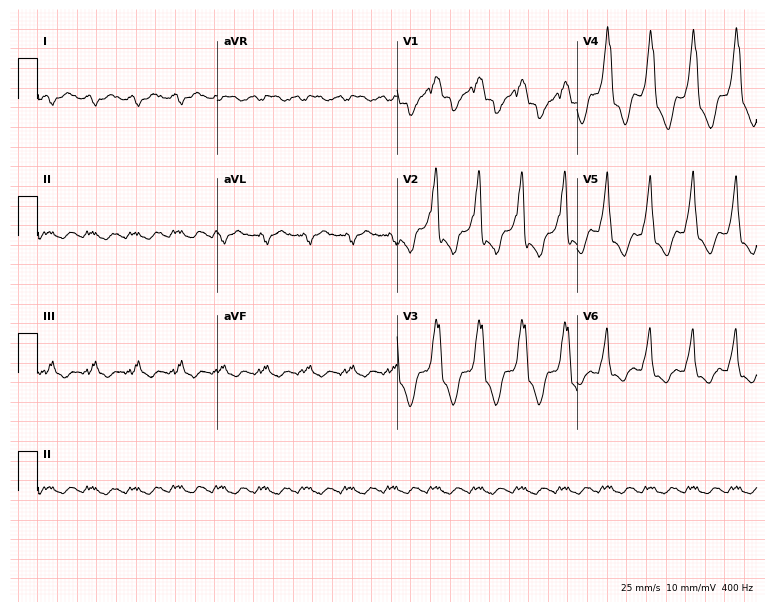
Standard 12-lead ECG recorded from a female patient, 86 years old (7.3-second recording at 400 Hz). None of these six findings is recorded: first-degree AV block, right bundle branch block (RBBB), left bundle branch block (LBBB), sinus bradycardia, atrial fibrillation (AF), sinus tachycardia.